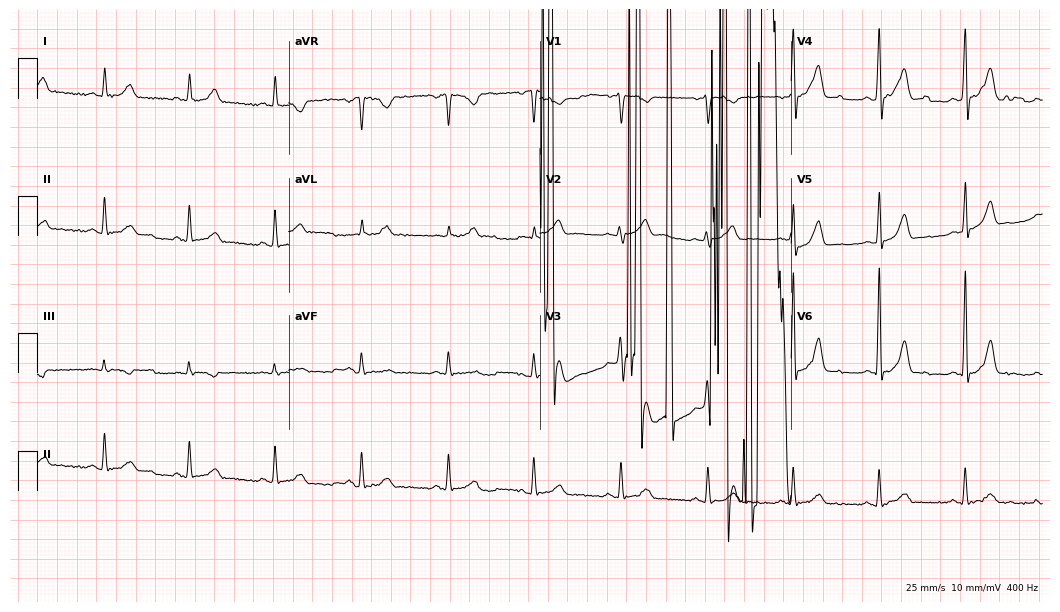
Electrocardiogram, a man, 47 years old. Of the six screened findings (first-degree AV block, right bundle branch block (RBBB), left bundle branch block (LBBB), sinus bradycardia, atrial fibrillation (AF), sinus tachycardia), none is recorded.